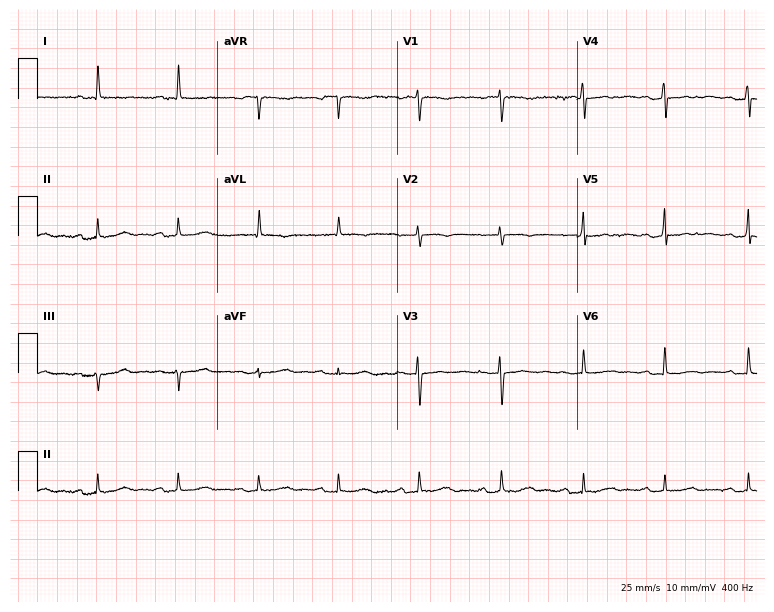
Electrocardiogram (7.3-second recording at 400 Hz), a female patient, 76 years old. Of the six screened findings (first-degree AV block, right bundle branch block, left bundle branch block, sinus bradycardia, atrial fibrillation, sinus tachycardia), none is recorded. Other findings, if any, are not listed.